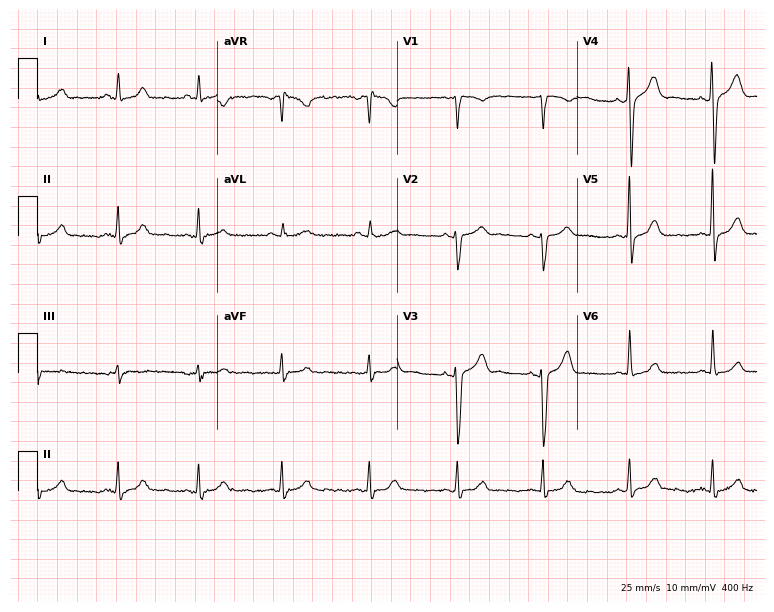
Electrocardiogram, a male patient, 37 years old. Of the six screened findings (first-degree AV block, right bundle branch block (RBBB), left bundle branch block (LBBB), sinus bradycardia, atrial fibrillation (AF), sinus tachycardia), none is recorded. Only these six findings were labelled.